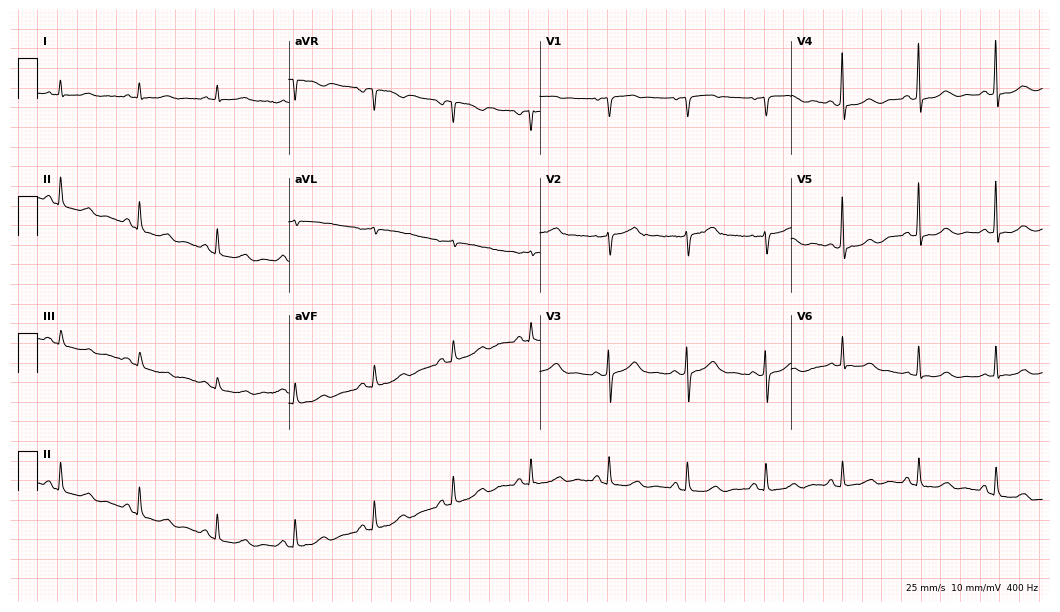
12-lead ECG from a woman, 81 years old. Labelled as a normal ECG.